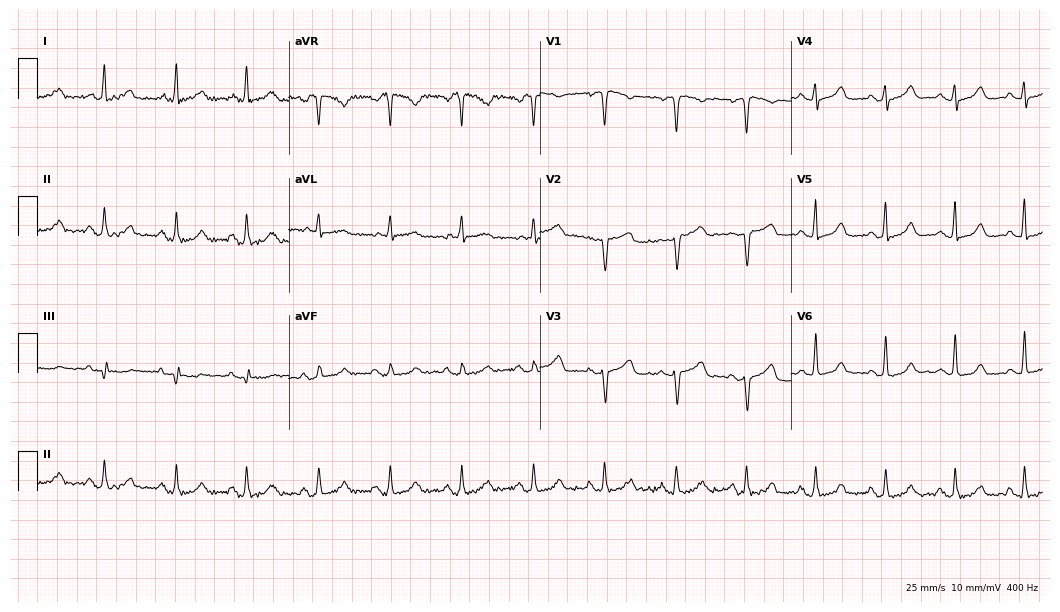
ECG — a woman, 57 years old. Labelled as a normal ECG.